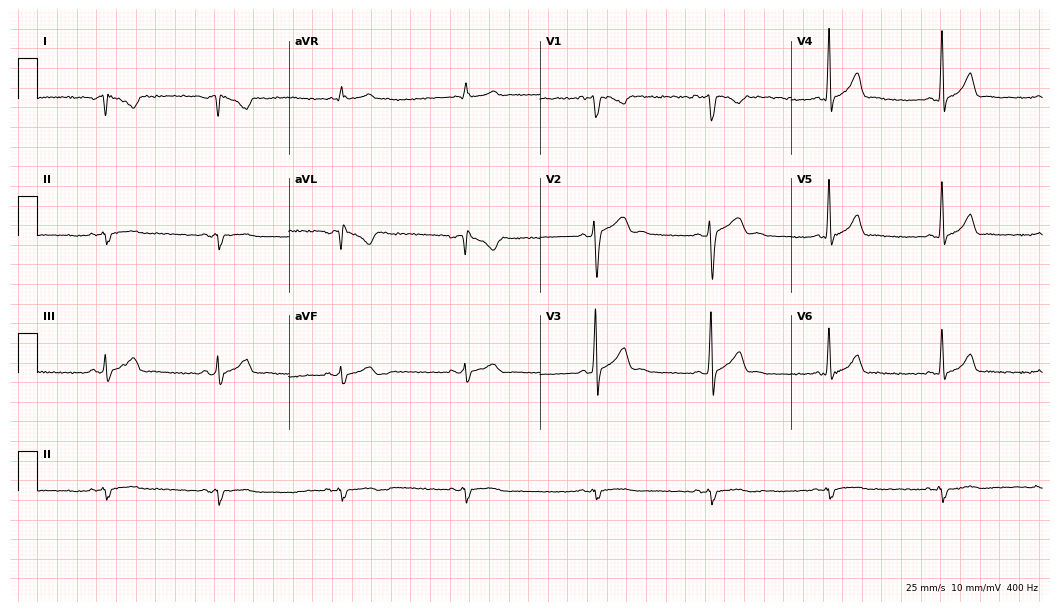
Standard 12-lead ECG recorded from an 18-year-old male (10.2-second recording at 400 Hz). None of these six findings is recorded: first-degree AV block, right bundle branch block (RBBB), left bundle branch block (LBBB), sinus bradycardia, atrial fibrillation (AF), sinus tachycardia.